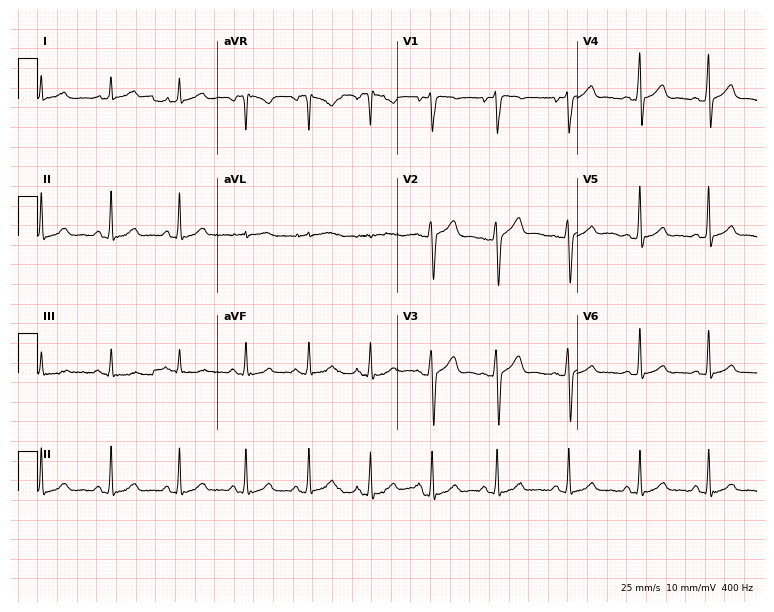
12-lead ECG (7.3-second recording at 400 Hz) from a male, 23 years old. Labelled as a normal ECG.